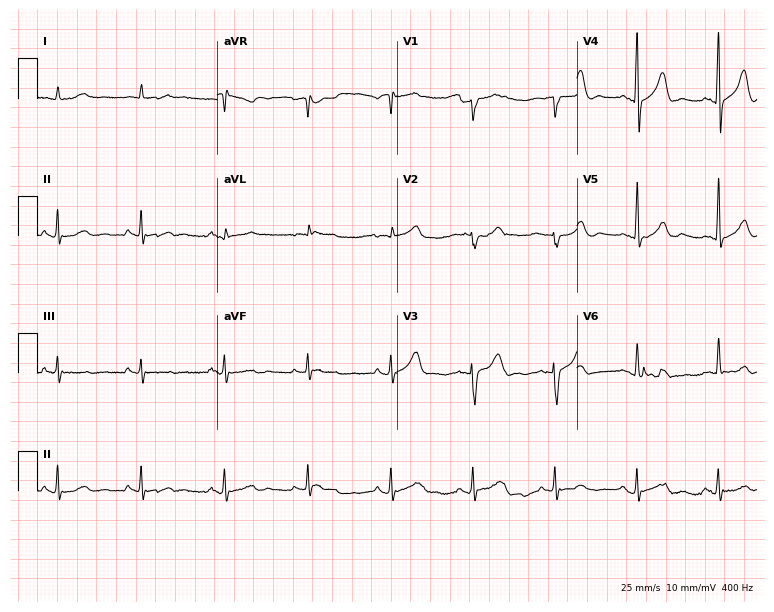
Resting 12-lead electrocardiogram. Patient: a 79-year-old male. Read as a normal ECG.